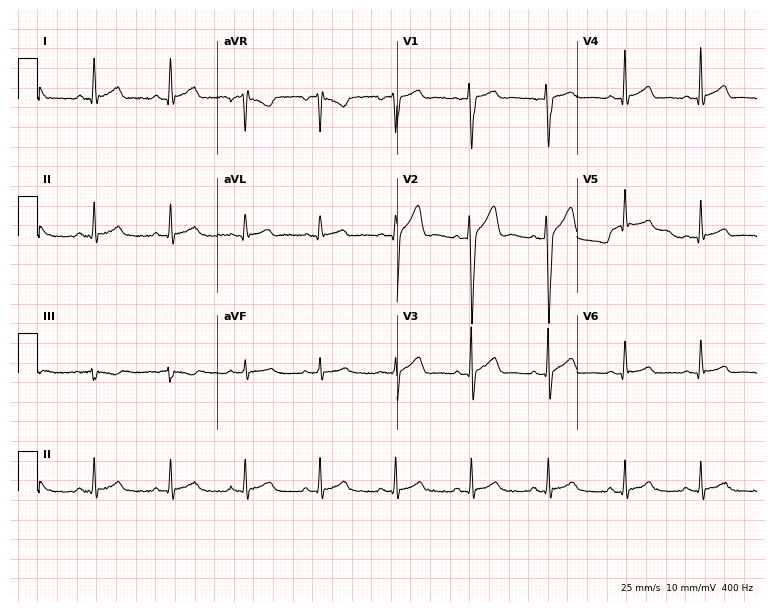
Electrocardiogram (7.3-second recording at 400 Hz), a male, 39 years old. Of the six screened findings (first-degree AV block, right bundle branch block (RBBB), left bundle branch block (LBBB), sinus bradycardia, atrial fibrillation (AF), sinus tachycardia), none is recorded. Only these six findings were labelled.